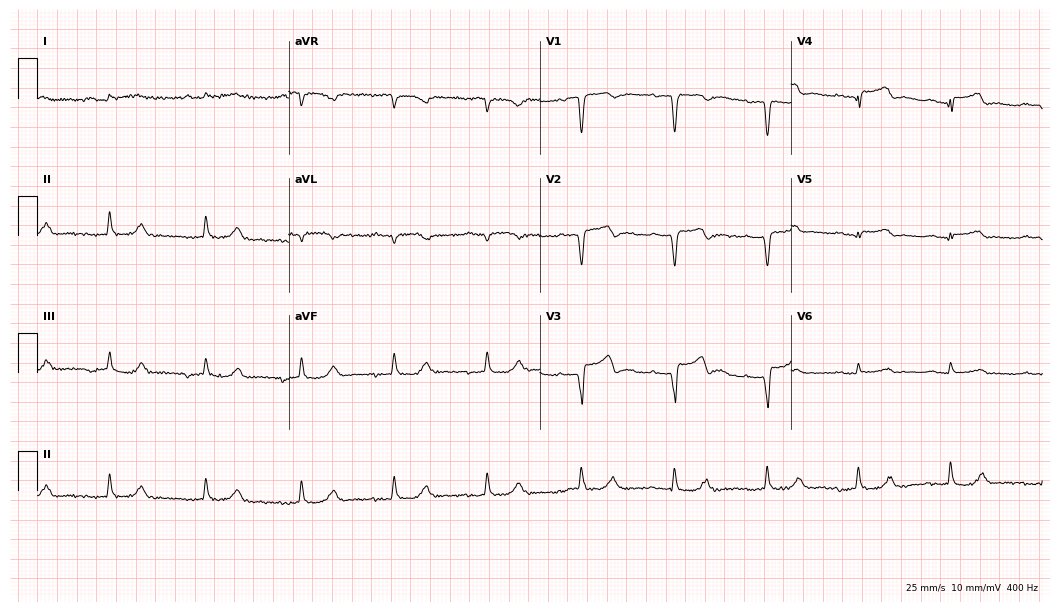
12-lead ECG (10.2-second recording at 400 Hz) from a man, 77 years old. Screened for six findings — first-degree AV block, right bundle branch block (RBBB), left bundle branch block (LBBB), sinus bradycardia, atrial fibrillation (AF), sinus tachycardia — none is recorded.